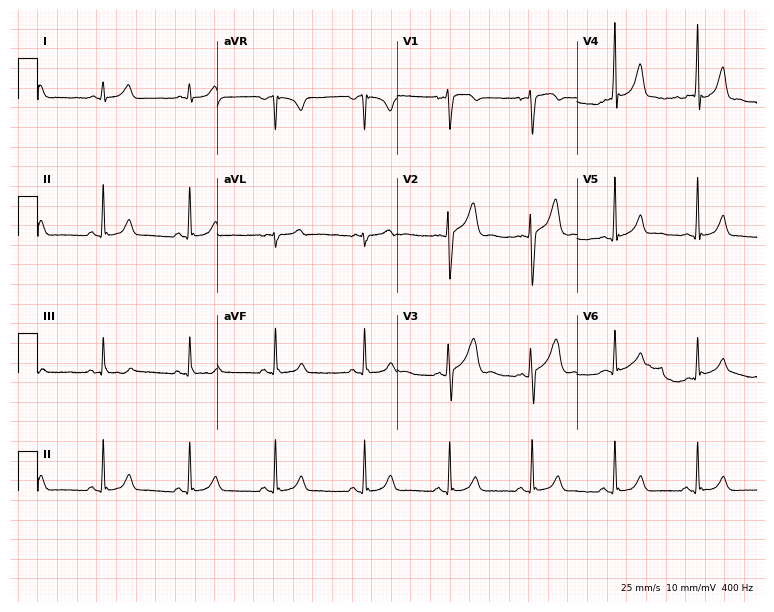
Resting 12-lead electrocardiogram. Patient: a male, 26 years old. Read as a normal ECG.